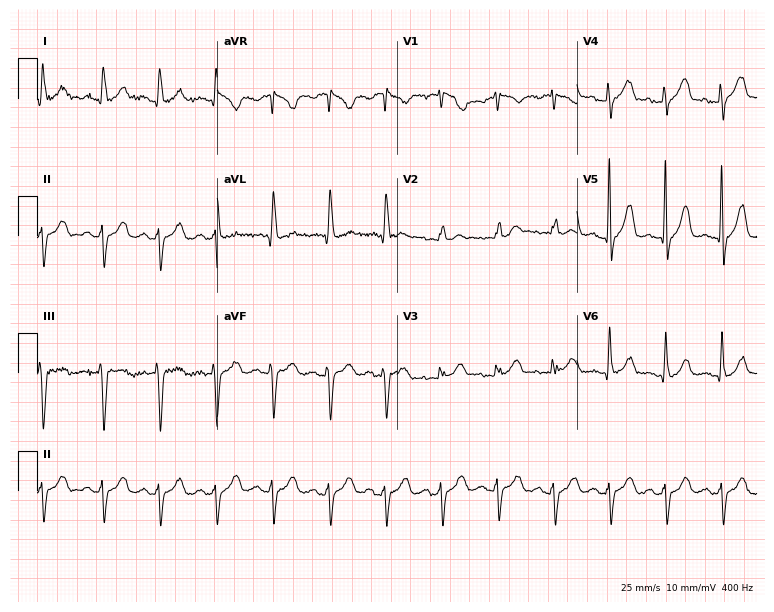
12-lead ECG (7.3-second recording at 400 Hz) from a 71-year-old woman. Findings include sinus tachycardia (a sinus rate of 100 beats per minute or more).